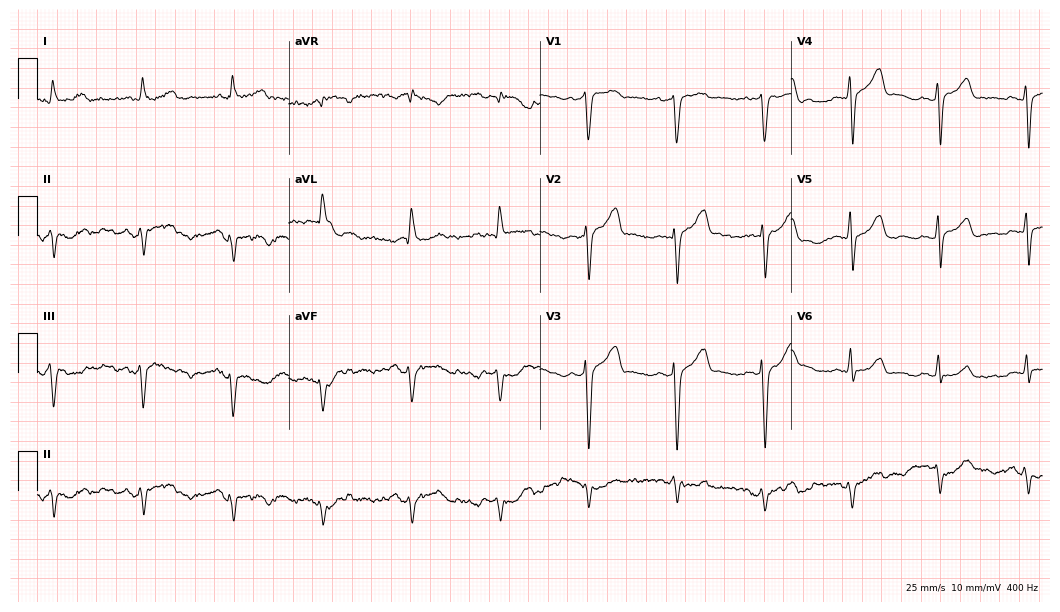
12-lead ECG (10.2-second recording at 400 Hz) from a 77-year-old man. Screened for six findings — first-degree AV block, right bundle branch block, left bundle branch block, sinus bradycardia, atrial fibrillation, sinus tachycardia — none is recorded. Other findings, if any, are not listed.